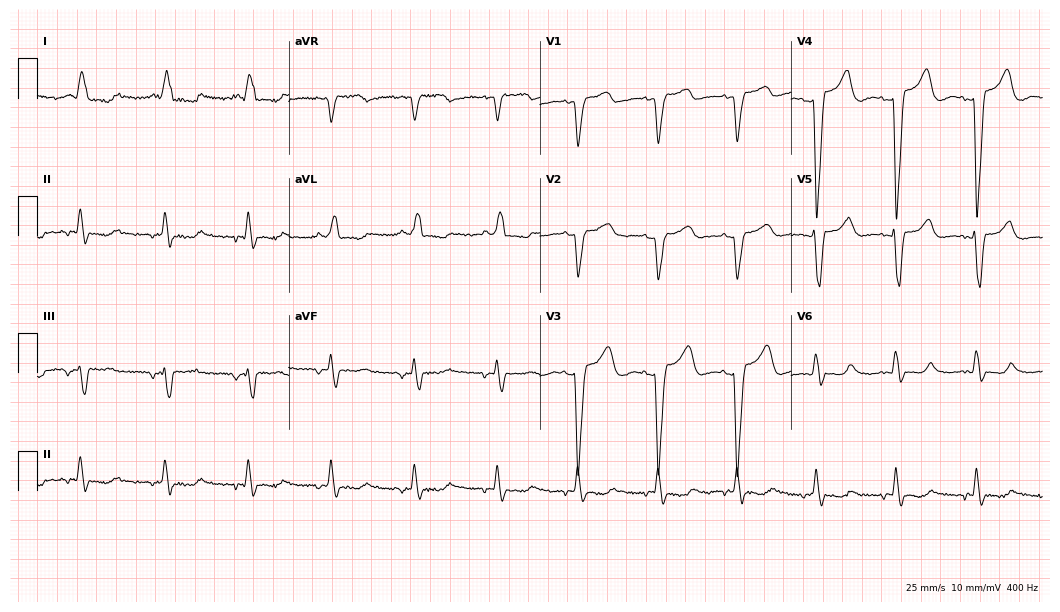
12-lead ECG from a woman, 79 years old. Shows left bundle branch block.